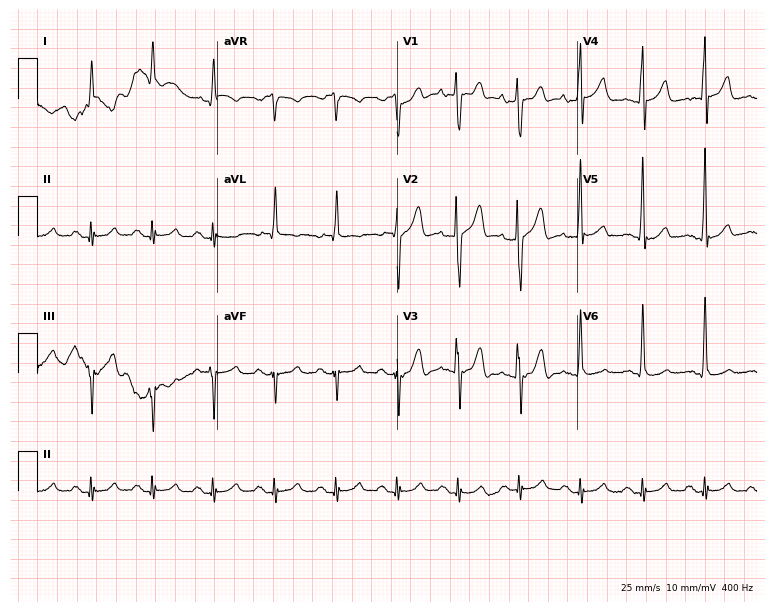
Resting 12-lead electrocardiogram (7.3-second recording at 400 Hz). Patient: a 59-year-old male. Read as a normal ECG.